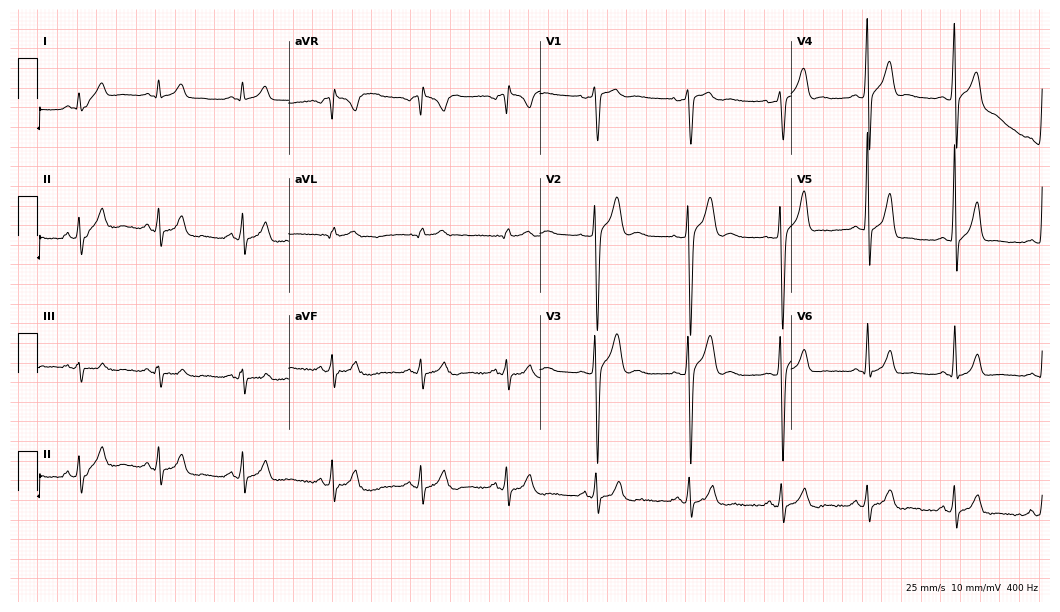
Electrocardiogram (10.2-second recording at 400 Hz), a 21-year-old man. Overall reading on record: normal ECG.